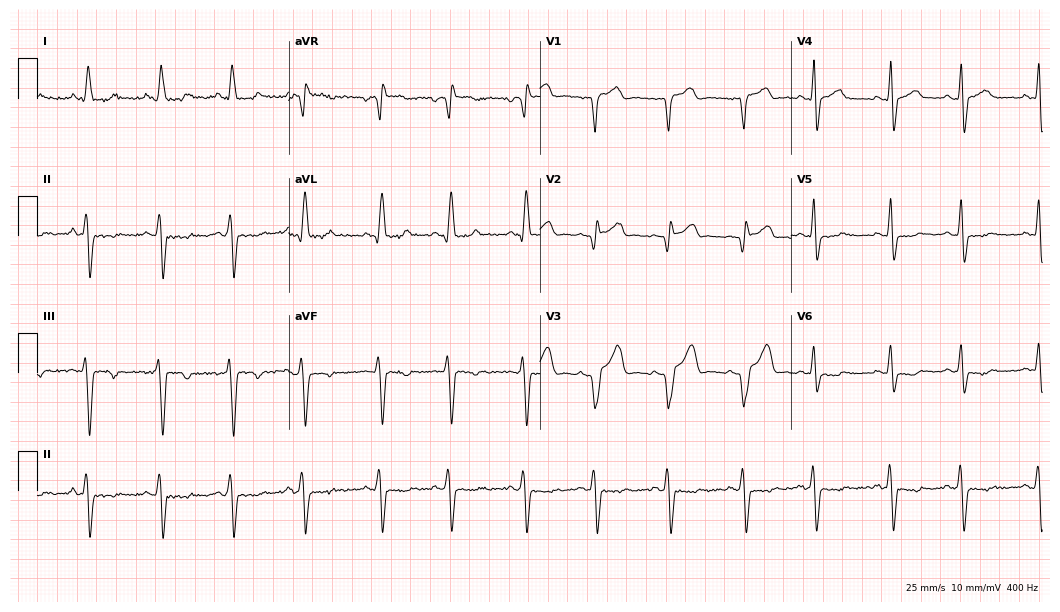
12-lead ECG from a male, 66 years old. Screened for six findings — first-degree AV block, right bundle branch block, left bundle branch block, sinus bradycardia, atrial fibrillation, sinus tachycardia — none is recorded. Other findings, if any, are not listed.